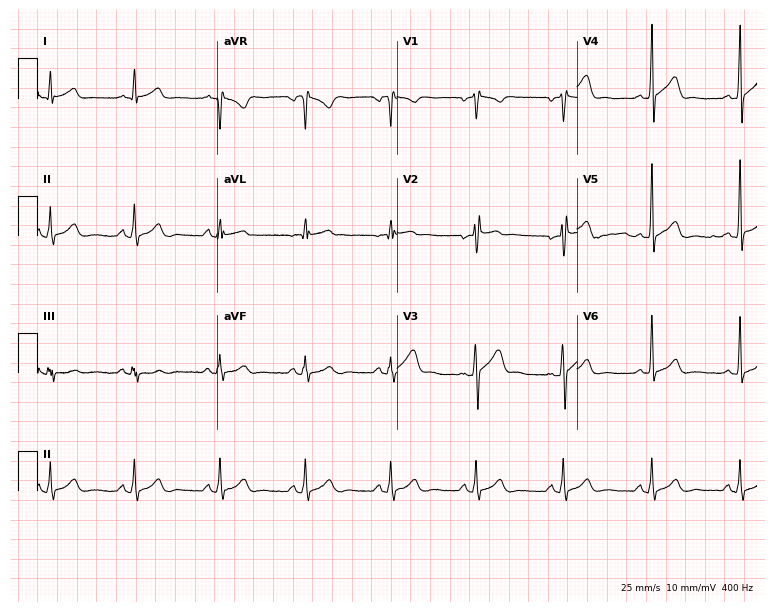
ECG (7.3-second recording at 400 Hz) — a male, 42 years old. Screened for six findings — first-degree AV block, right bundle branch block (RBBB), left bundle branch block (LBBB), sinus bradycardia, atrial fibrillation (AF), sinus tachycardia — none is recorded.